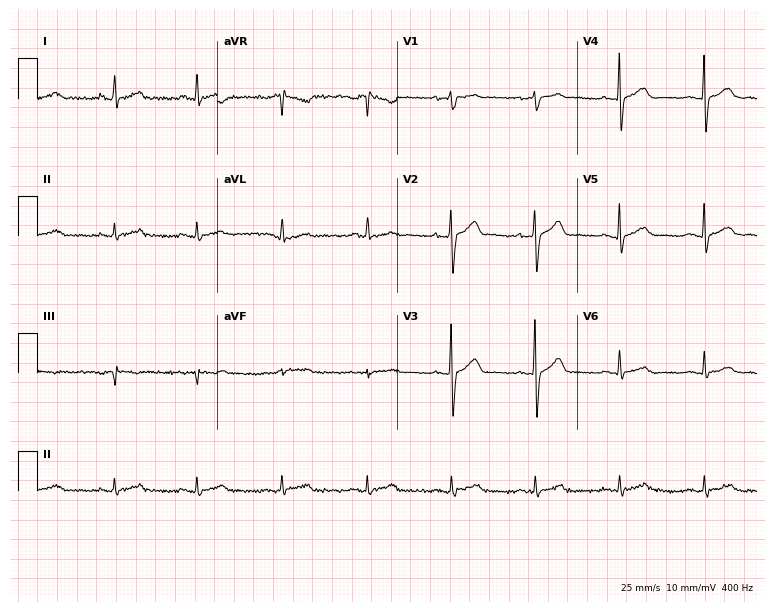
ECG (7.3-second recording at 400 Hz) — a 56-year-old male. Screened for six findings — first-degree AV block, right bundle branch block, left bundle branch block, sinus bradycardia, atrial fibrillation, sinus tachycardia — none is recorded.